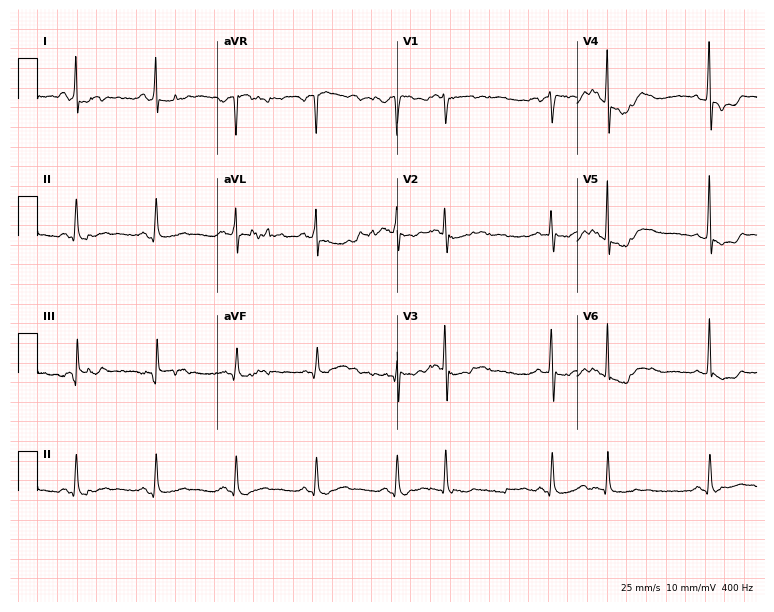
Electrocardiogram (7.3-second recording at 400 Hz), a female patient, 69 years old. Of the six screened findings (first-degree AV block, right bundle branch block, left bundle branch block, sinus bradycardia, atrial fibrillation, sinus tachycardia), none is recorded.